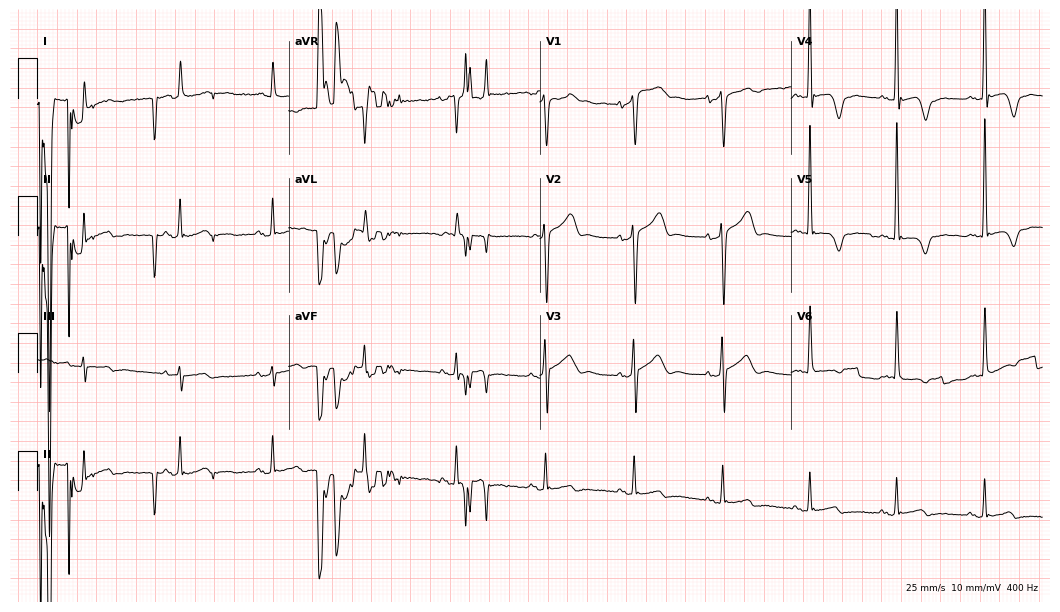
12-lead ECG (10.2-second recording at 400 Hz) from a 78-year-old male patient. Screened for six findings — first-degree AV block, right bundle branch block, left bundle branch block, sinus bradycardia, atrial fibrillation, sinus tachycardia — none is recorded.